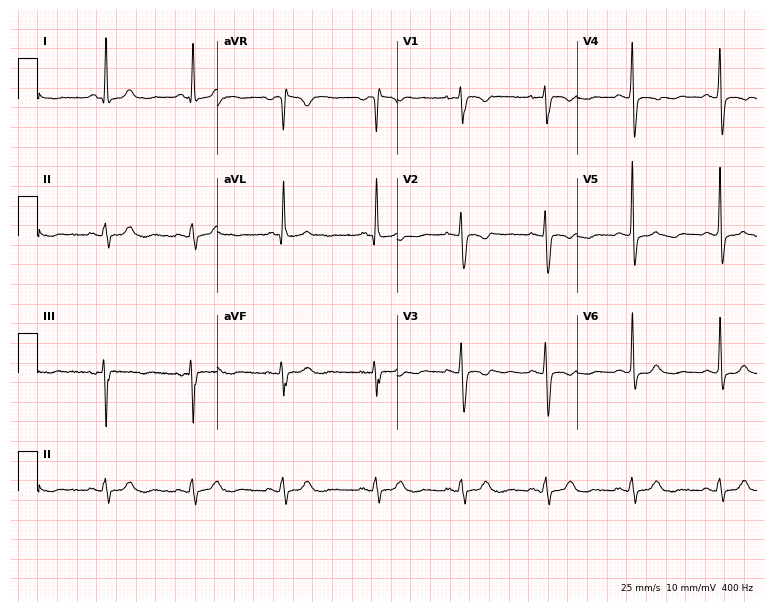
Electrocardiogram, a 41-year-old female patient. Of the six screened findings (first-degree AV block, right bundle branch block (RBBB), left bundle branch block (LBBB), sinus bradycardia, atrial fibrillation (AF), sinus tachycardia), none is recorded. Only these six findings were labelled.